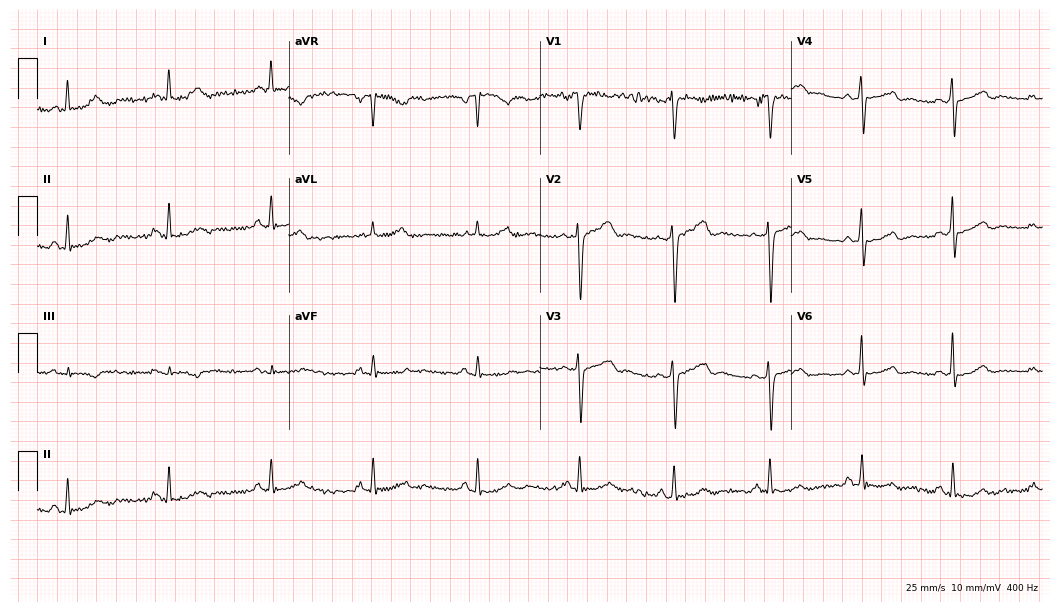
Resting 12-lead electrocardiogram. Patient: a 48-year-old male. Read as a normal ECG.